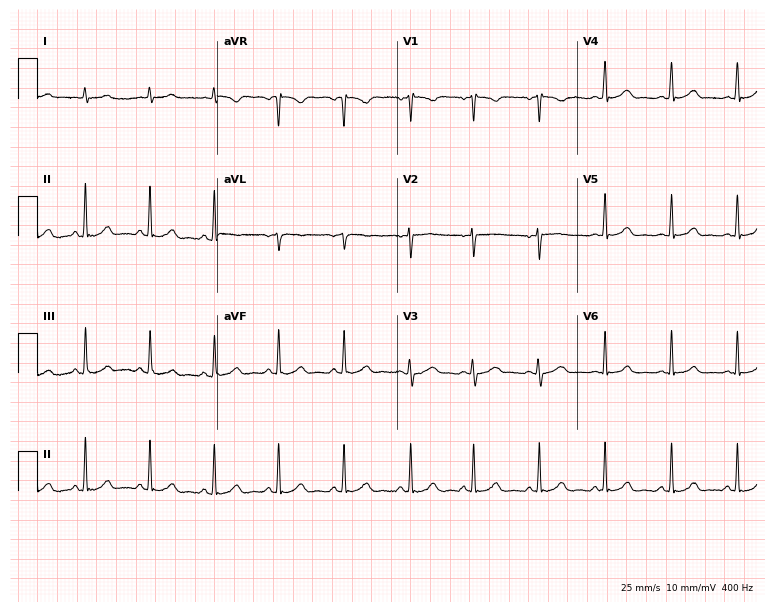
12-lead ECG from a woman, 18 years old (7.3-second recording at 400 Hz). Recorded interpretation: within normal limits.